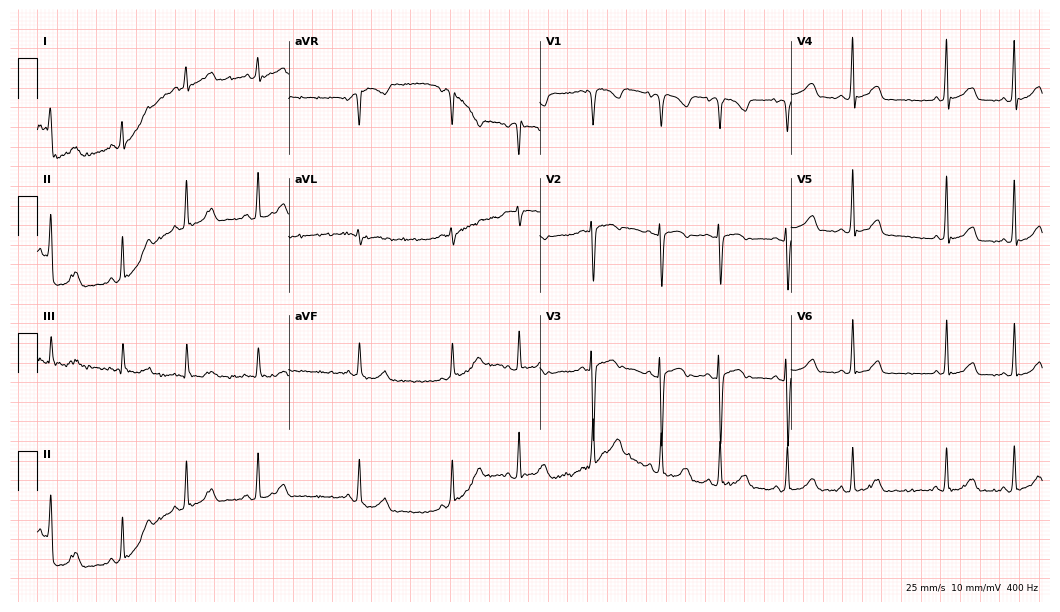
12-lead ECG (10.2-second recording at 400 Hz) from a male, 75 years old. Screened for six findings — first-degree AV block, right bundle branch block, left bundle branch block, sinus bradycardia, atrial fibrillation, sinus tachycardia — none is recorded.